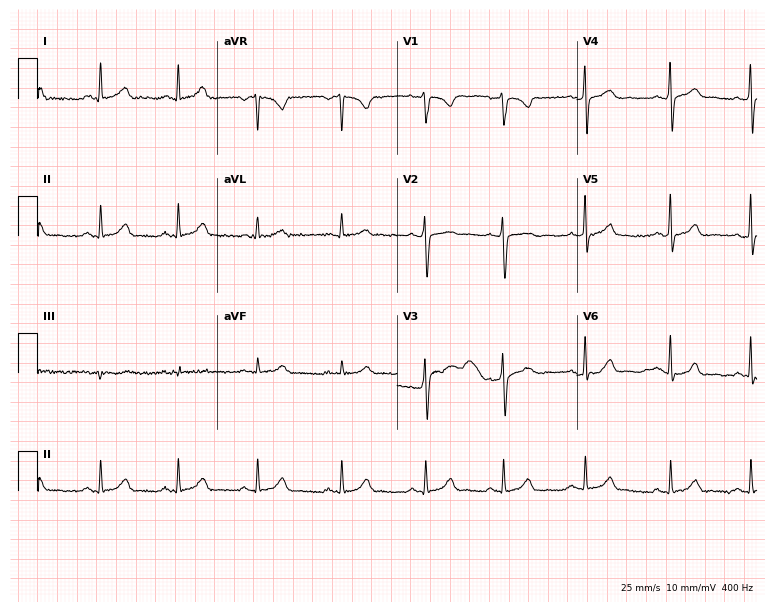
Standard 12-lead ECG recorded from a 21-year-old female patient. Read as a normal ECG.